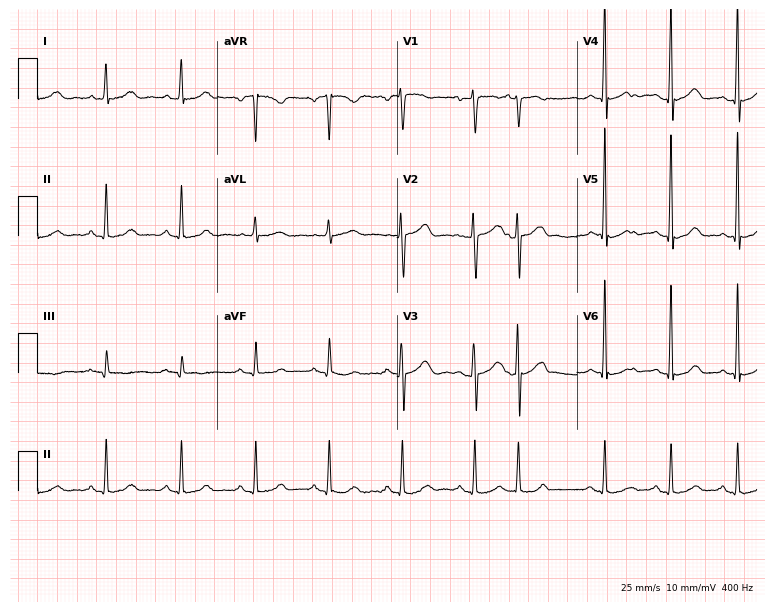
12-lead ECG from a female, 50 years old. Labelled as a normal ECG.